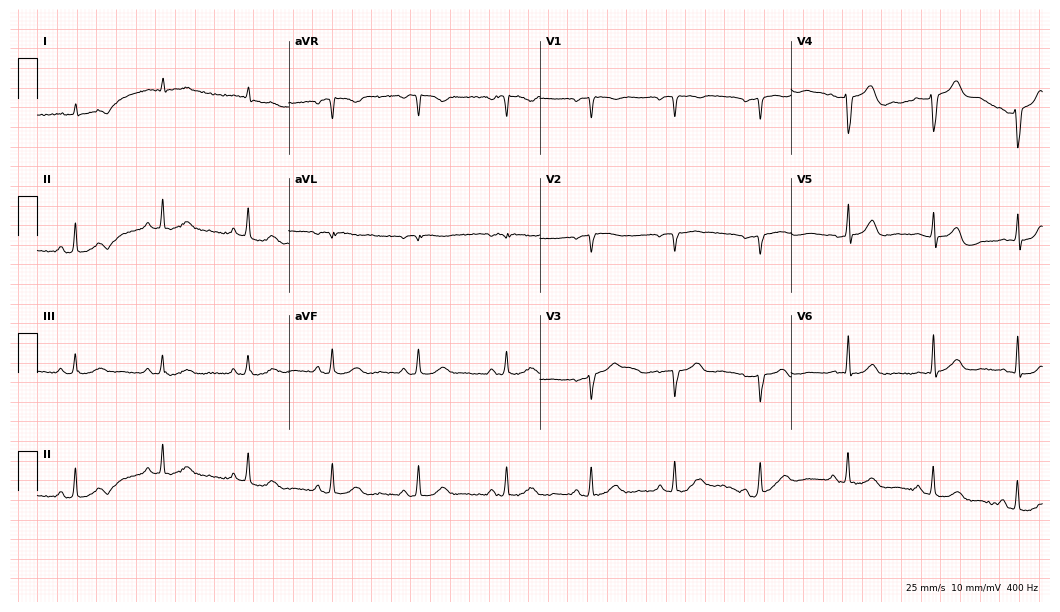
Resting 12-lead electrocardiogram (10.2-second recording at 400 Hz). Patient: a 70-year-old man. None of these six findings is recorded: first-degree AV block, right bundle branch block, left bundle branch block, sinus bradycardia, atrial fibrillation, sinus tachycardia.